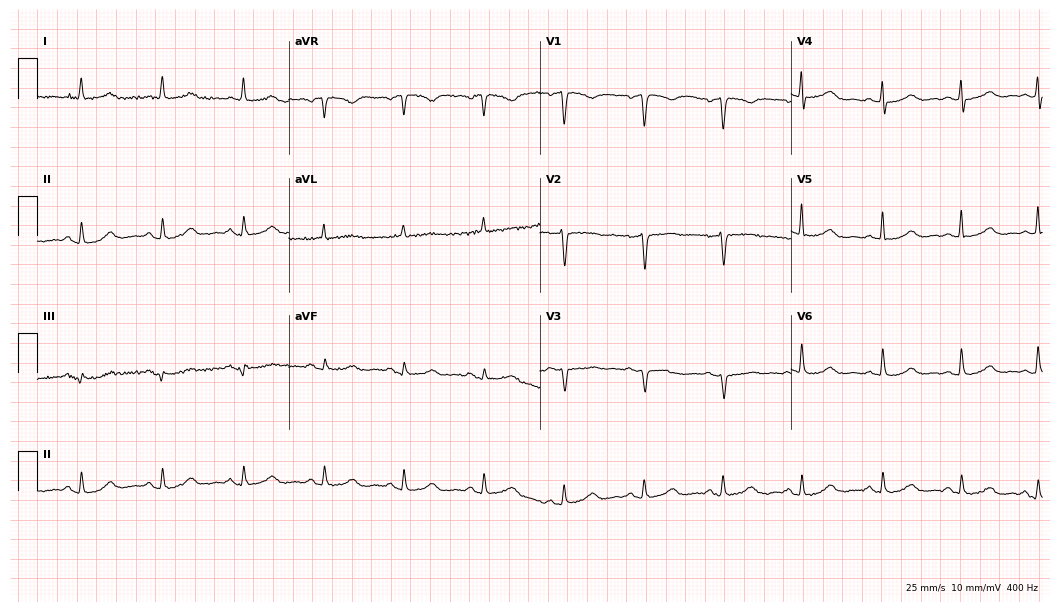
ECG (10.2-second recording at 400 Hz) — a 65-year-old female. Screened for six findings — first-degree AV block, right bundle branch block (RBBB), left bundle branch block (LBBB), sinus bradycardia, atrial fibrillation (AF), sinus tachycardia — none is recorded.